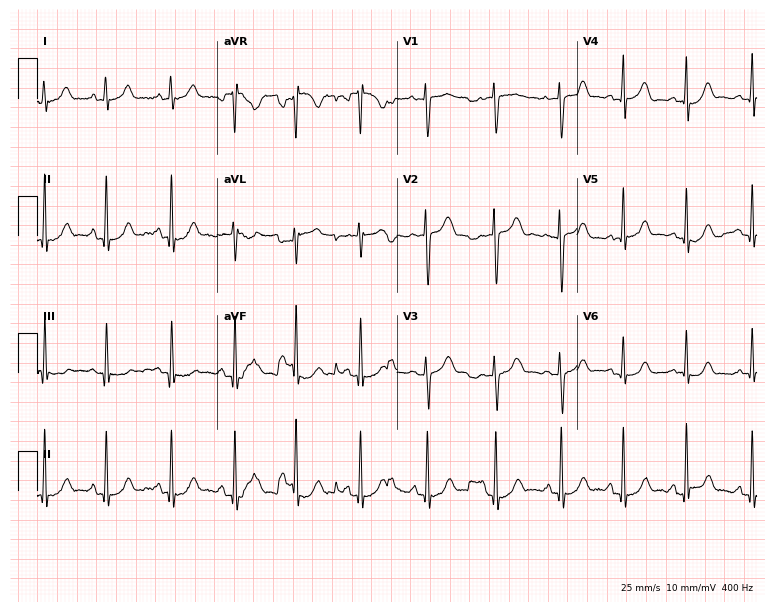
Standard 12-lead ECG recorded from a 27-year-old woman (7.3-second recording at 400 Hz). Read as a normal ECG.